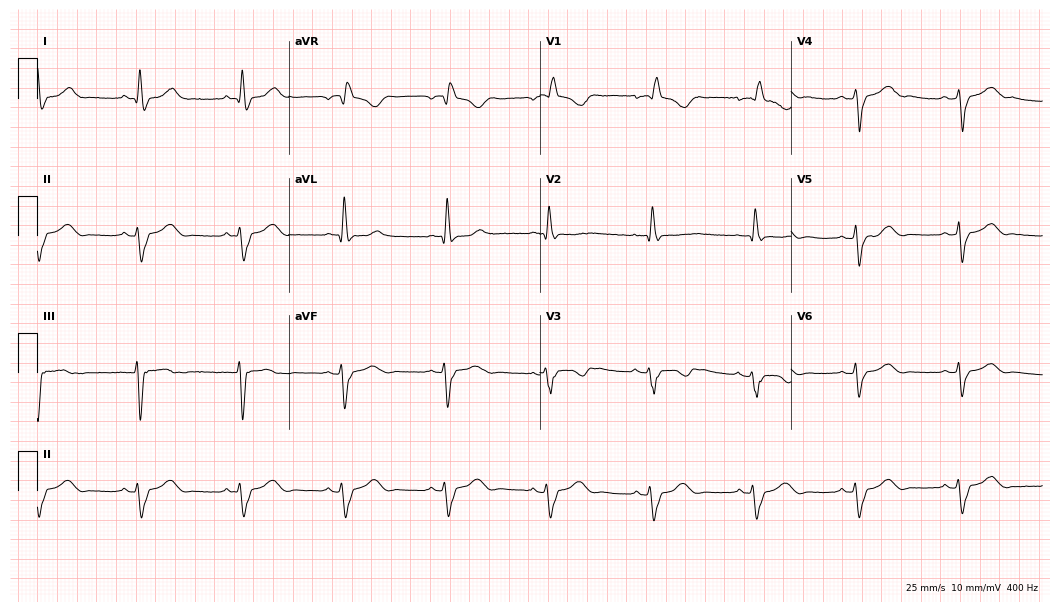
Standard 12-lead ECG recorded from a 43-year-old female patient (10.2-second recording at 400 Hz). None of these six findings is recorded: first-degree AV block, right bundle branch block, left bundle branch block, sinus bradycardia, atrial fibrillation, sinus tachycardia. Other findings, if any, are not listed.